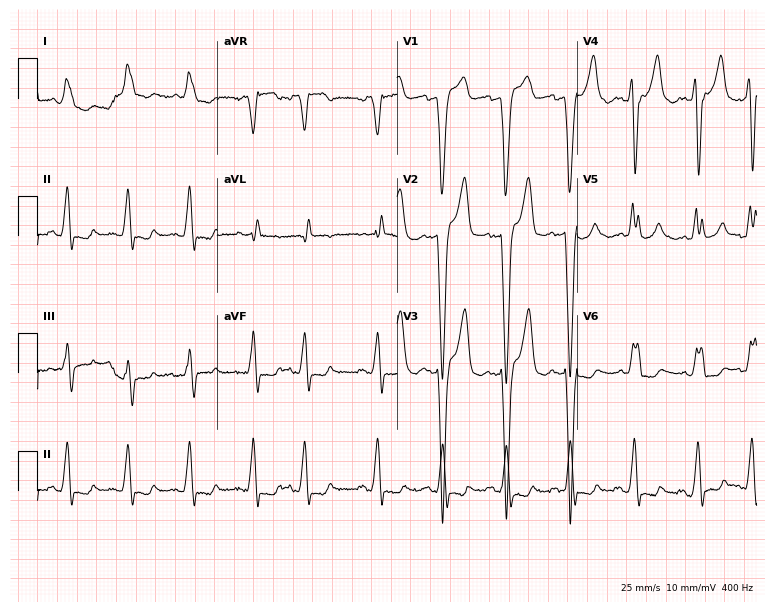
12-lead ECG from a male patient, 79 years old. Findings include left bundle branch block.